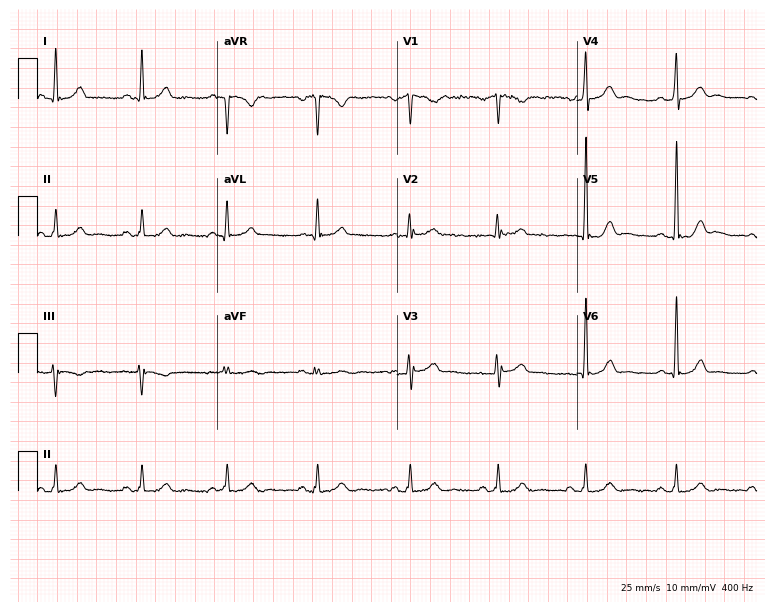
Electrocardiogram (7.3-second recording at 400 Hz), a man, 28 years old. Overall reading on record: normal ECG.